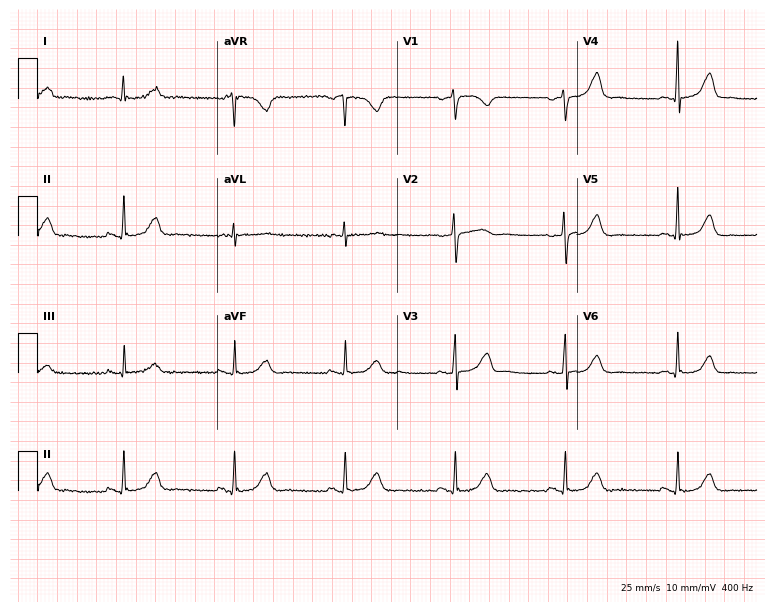
ECG — a 61-year-old female. Screened for six findings — first-degree AV block, right bundle branch block, left bundle branch block, sinus bradycardia, atrial fibrillation, sinus tachycardia — none is recorded. Findings outside these six are not listed.